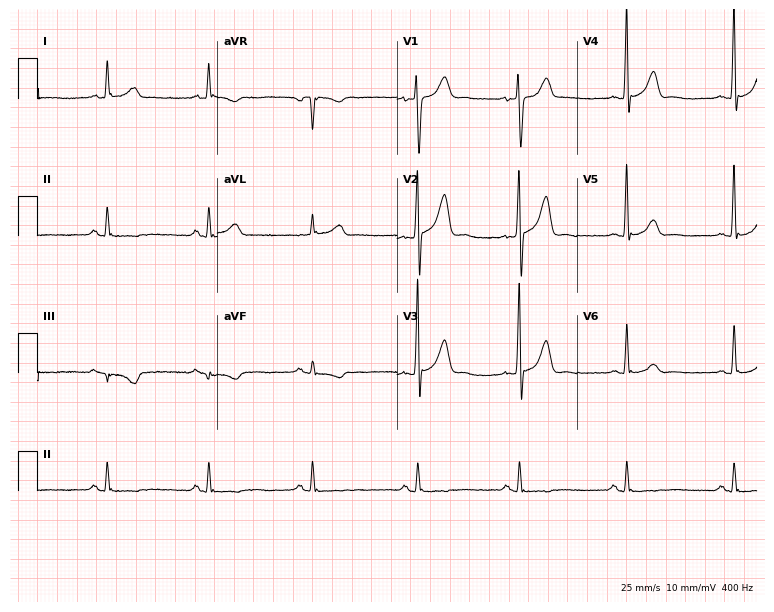
Standard 12-lead ECG recorded from a man, 57 years old (7.3-second recording at 400 Hz). None of these six findings is recorded: first-degree AV block, right bundle branch block, left bundle branch block, sinus bradycardia, atrial fibrillation, sinus tachycardia.